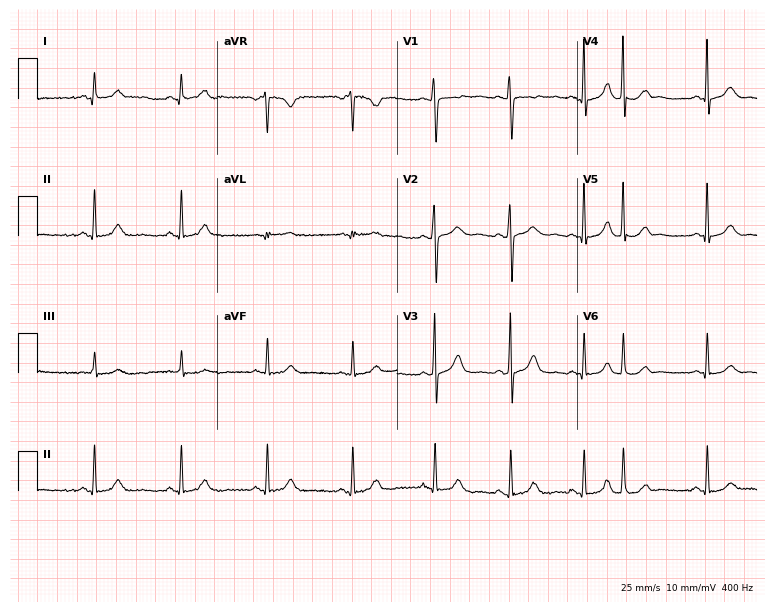
12-lead ECG from a 25-year-old woman (7.3-second recording at 400 Hz). No first-degree AV block, right bundle branch block, left bundle branch block, sinus bradycardia, atrial fibrillation or sinus tachycardia recorded for this tracing.